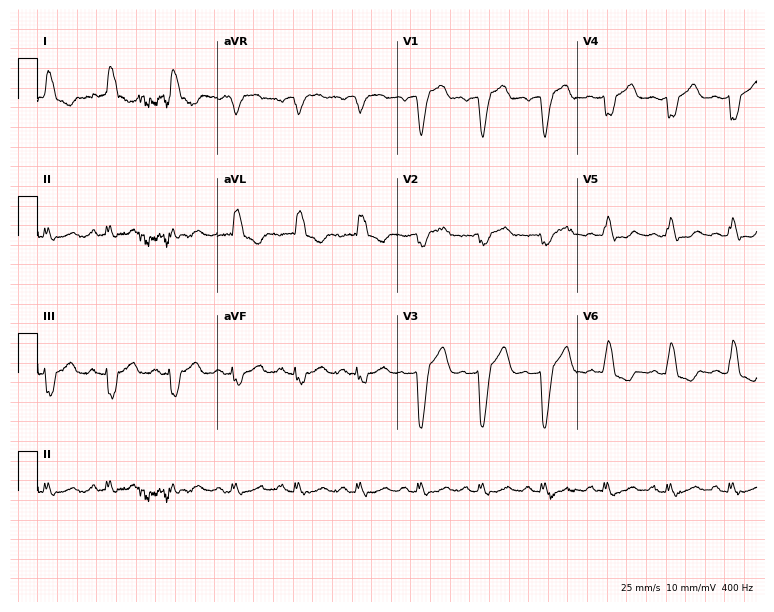
ECG — a female patient, 70 years old. Findings include left bundle branch block.